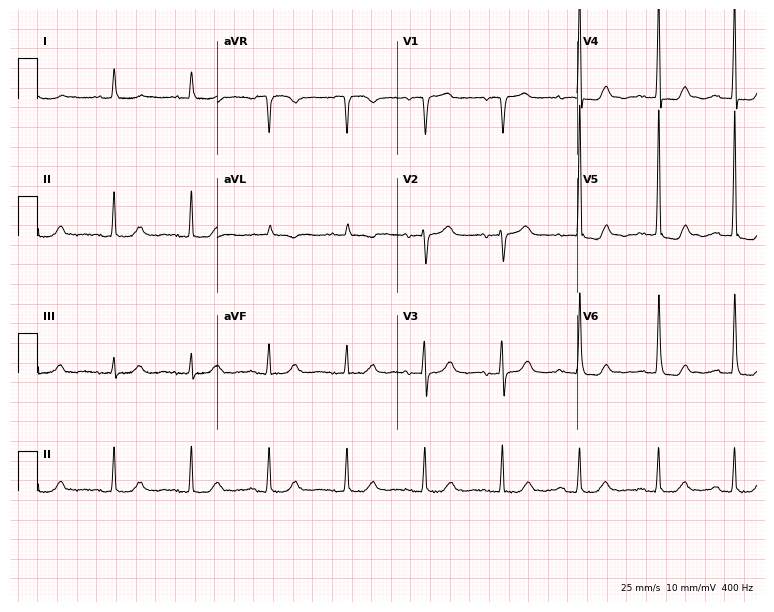
12-lead ECG from a female, 82 years old. Recorded interpretation: within normal limits.